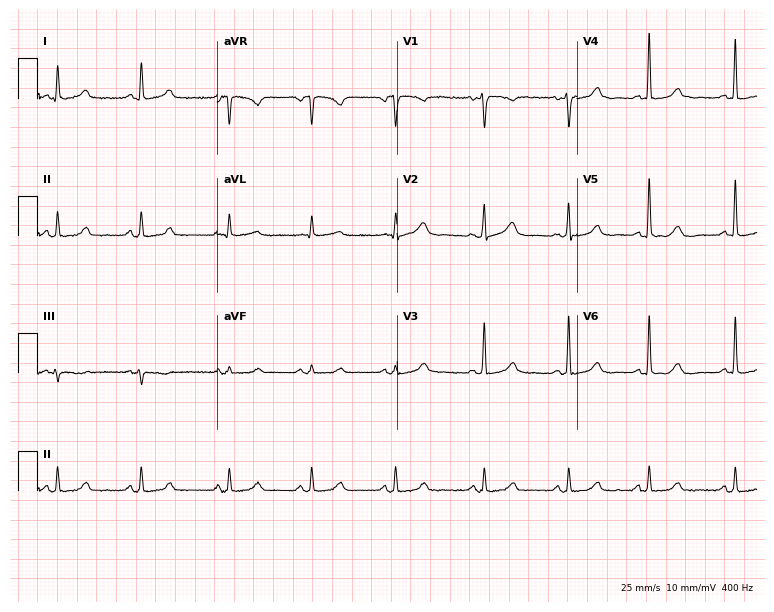
Resting 12-lead electrocardiogram. Patient: a female, 47 years old. Read as a normal ECG.